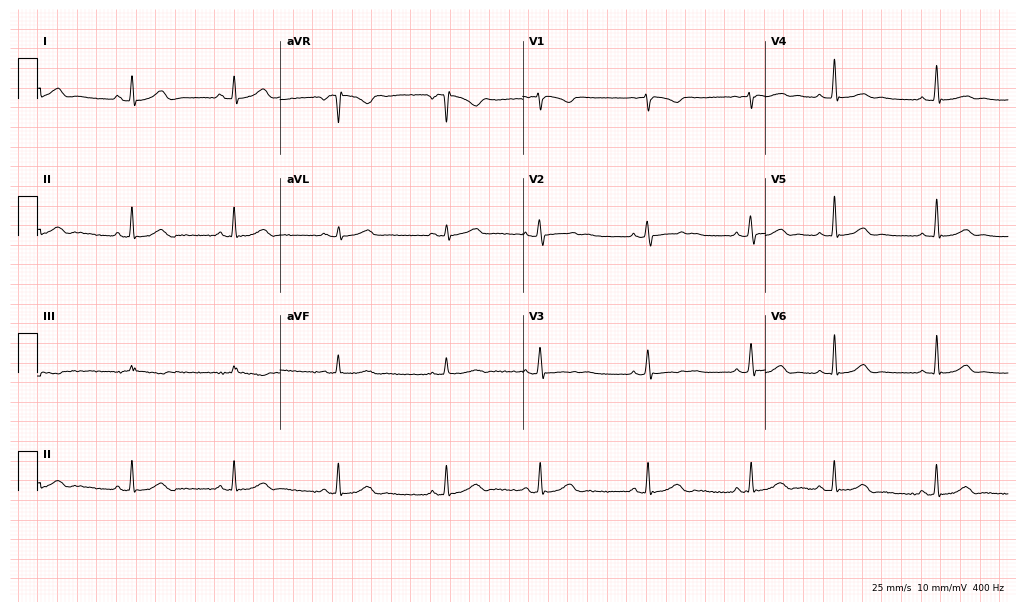
Resting 12-lead electrocardiogram (9.9-second recording at 400 Hz). Patient: a female, 23 years old. Read as a normal ECG.